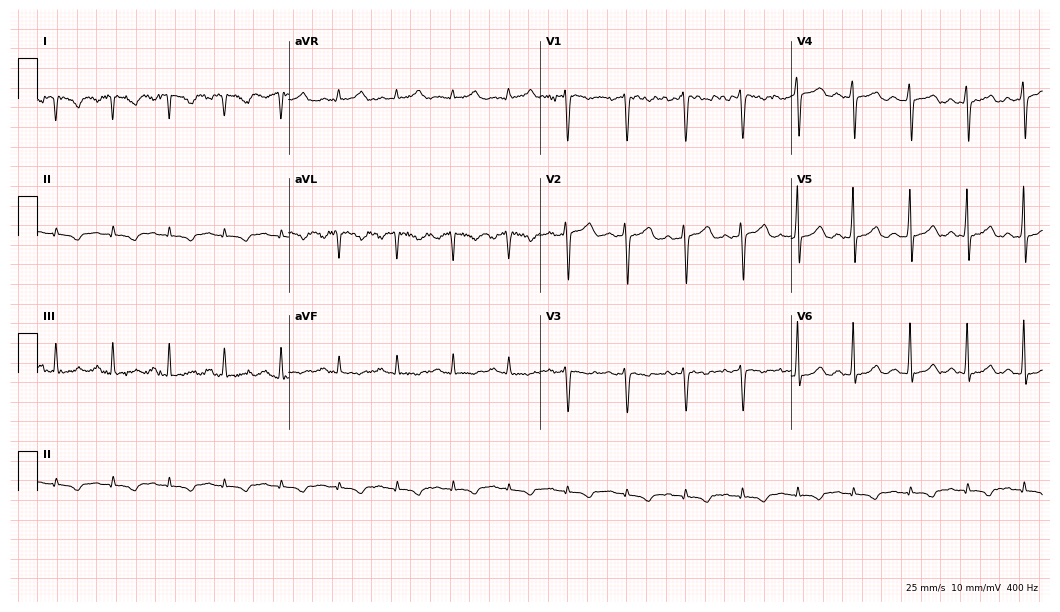
Standard 12-lead ECG recorded from a 31-year-old woman. None of these six findings is recorded: first-degree AV block, right bundle branch block, left bundle branch block, sinus bradycardia, atrial fibrillation, sinus tachycardia. Findings outside these six are not listed.